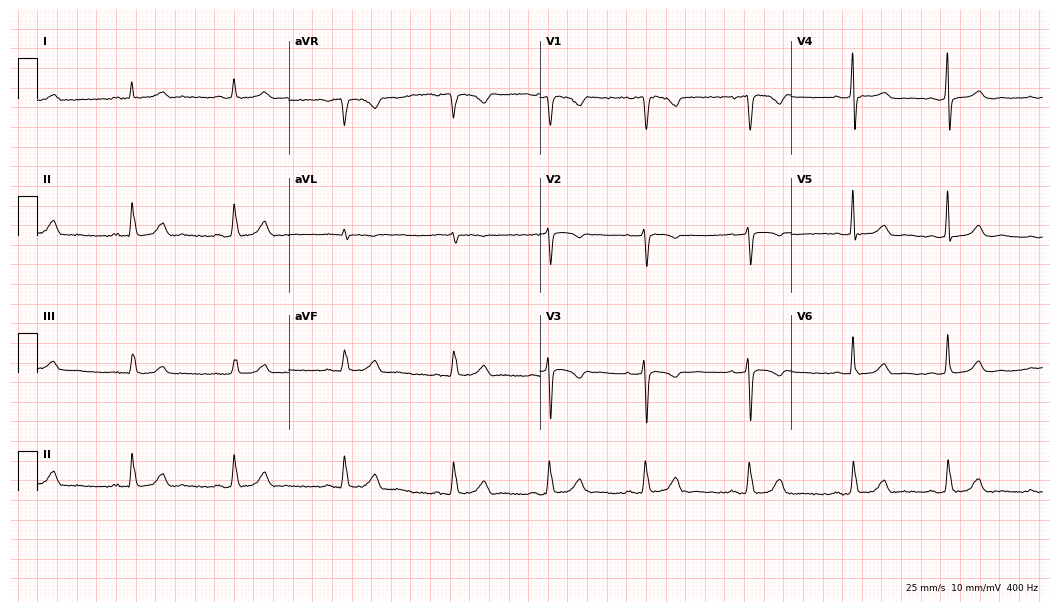
Resting 12-lead electrocardiogram. Patient: a female, 50 years old. Read as a normal ECG.